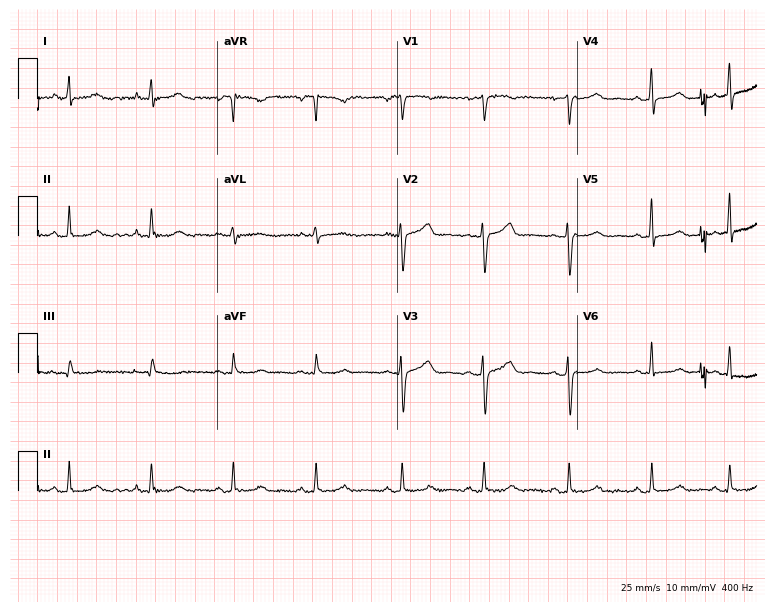
ECG — a 37-year-old female patient. Labelled as a normal ECG.